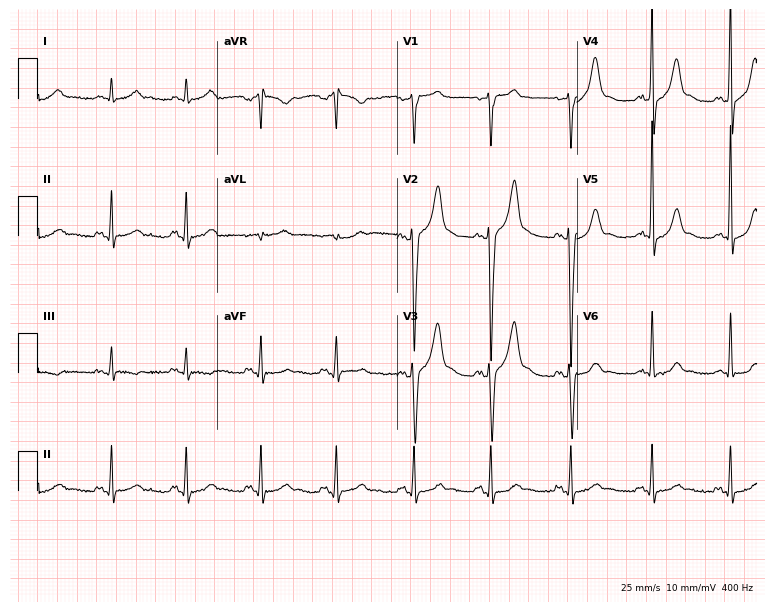
12-lead ECG from a male, 61 years old (7.3-second recording at 400 Hz). Recorded interpretation: within normal limits.